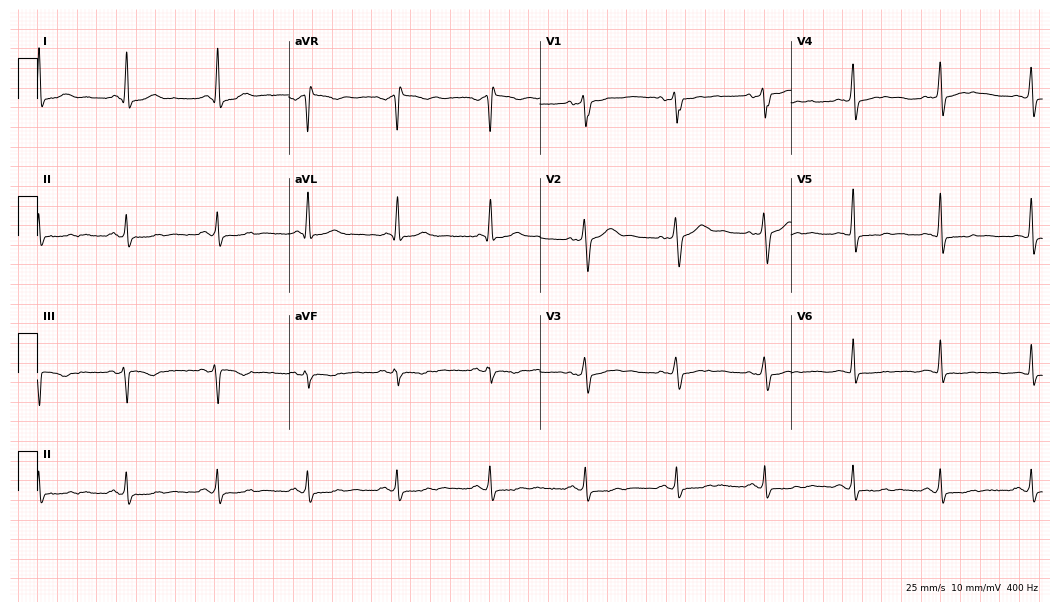
12-lead ECG from a male patient, 37 years old (10.2-second recording at 400 Hz). No first-degree AV block, right bundle branch block, left bundle branch block, sinus bradycardia, atrial fibrillation or sinus tachycardia recorded for this tracing.